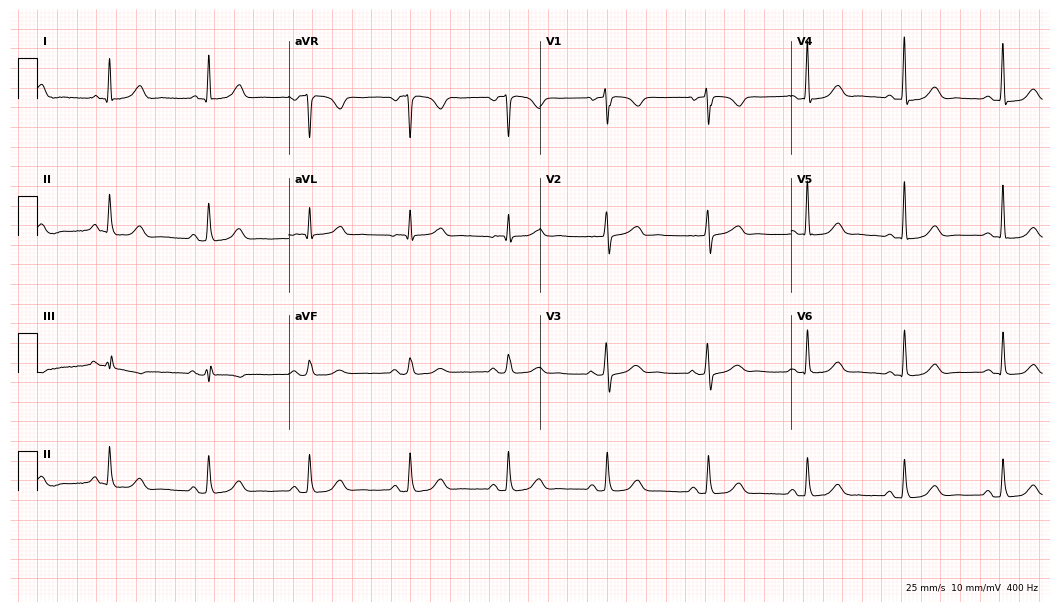
Standard 12-lead ECG recorded from a female patient, 67 years old (10.2-second recording at 400 Hz). Read as a normal ECG.